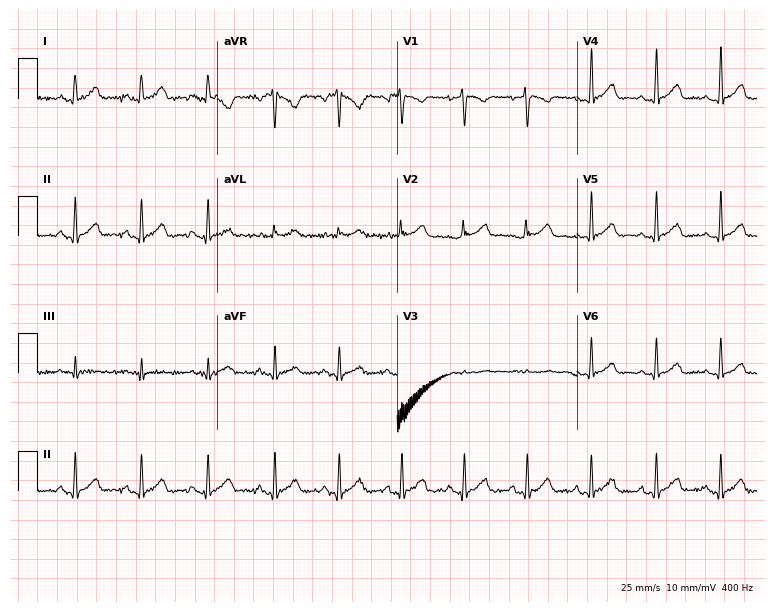
Standard 12-lead ECG recorded from a 19-year-old female patient (7.3-second recording at 400 Hz). None of these six findings is recorded: first-degree AV block, right bundle branch block, left bundle branch block, sinus bradycardia, atrial fibrillation, sinus tachycardia. Findings outside these six are not listed.